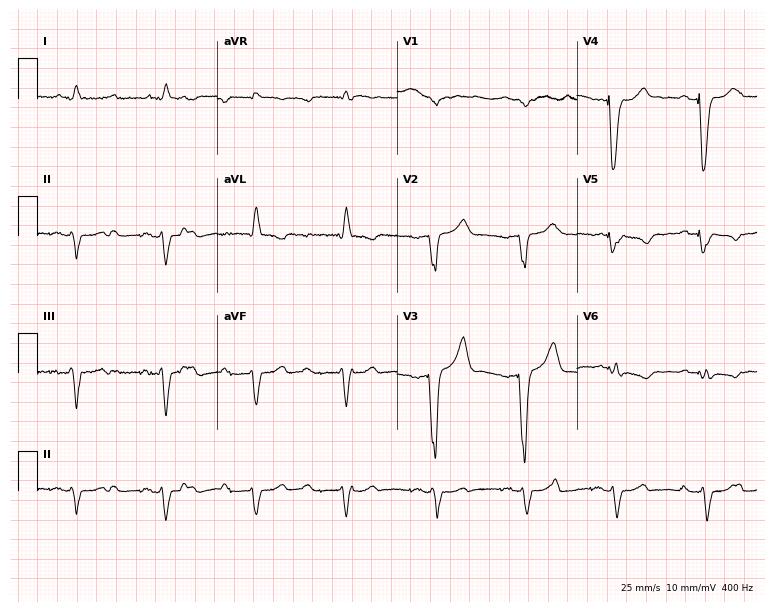
Electrocardiogram (7.3-second recording at 400 Hz), a male, 76 years old. Of the six screened findings (first-degree AV block, right bundle branch block (RBBB), left bundle branch block (LBBB), sinus bradycardia, atrial fibrillation (AF), sinus tachycardia), none is recorded.